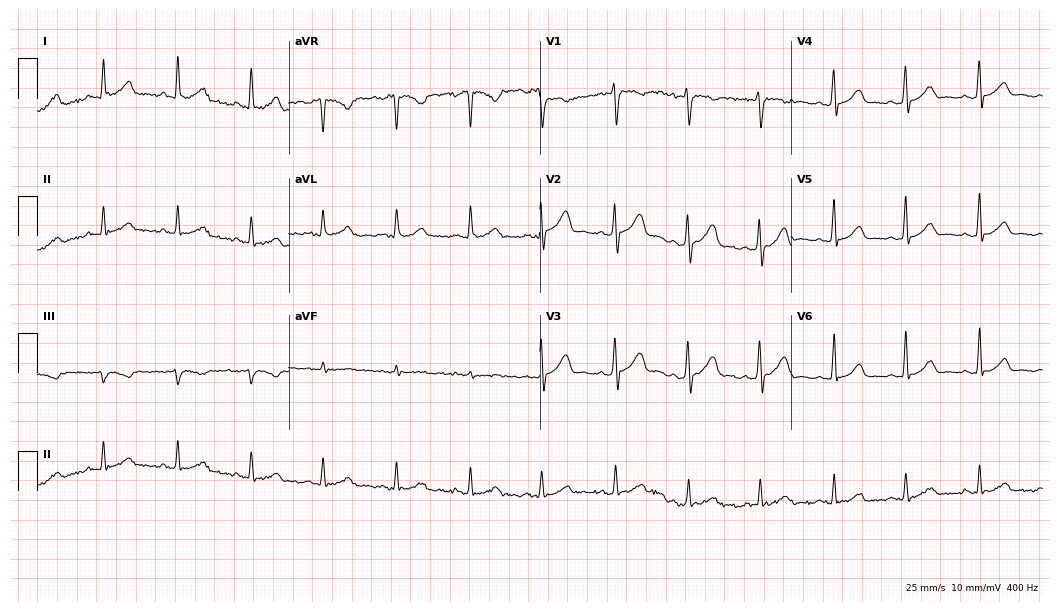
12-lead ECG from a 22-year-old male. Recorded interpretation: within normal limits.